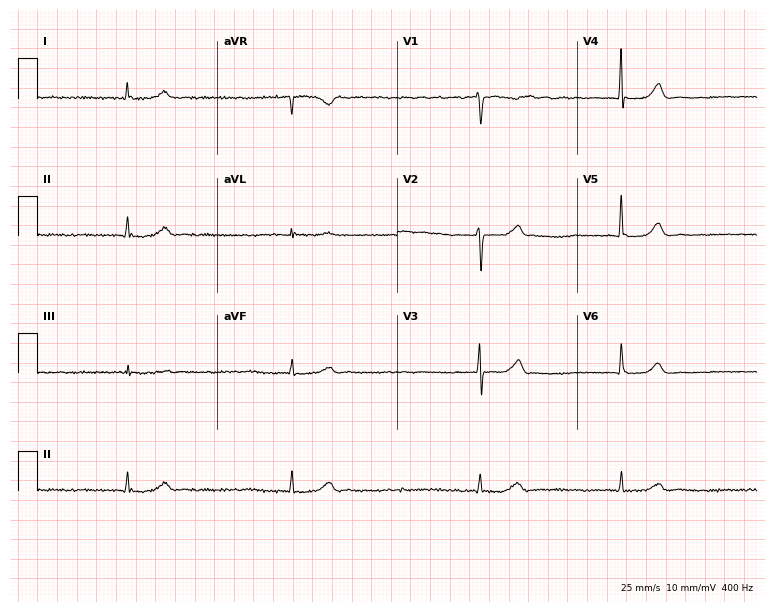
12-lead ECG from a 63-year-old female patient (7.3-second recording at 400 Hz). Shows atrial fibrillation (AF).